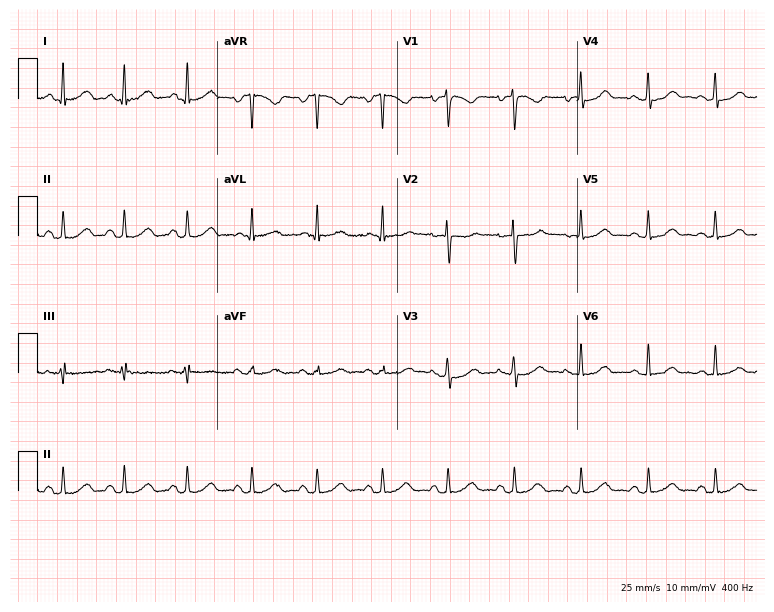
Resting 12-lead electrocardiogram (7.3-second recording at 400 Hz). Patient: a 39-year-old female. Read as a normal ECG.